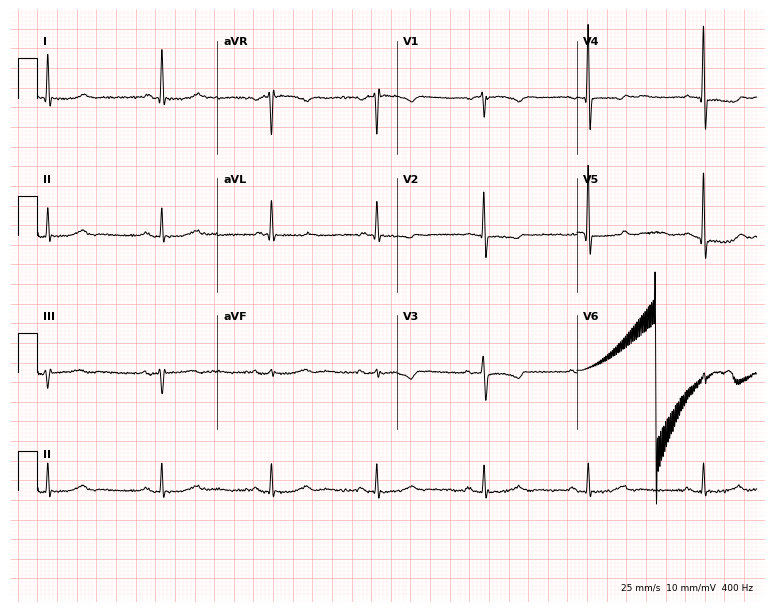
12-lead ECG (7.3-second recording at 400 Hz) from a woman, 81 years old. Screened for six findings — first-degree AV block, right bundle branch block (RBBB), left bundle branch block (LBBB), sinus bradycardia, atrial fibrillation (AF), sinus tachycardia — none is recorded. Other findings, if any, are not listed.